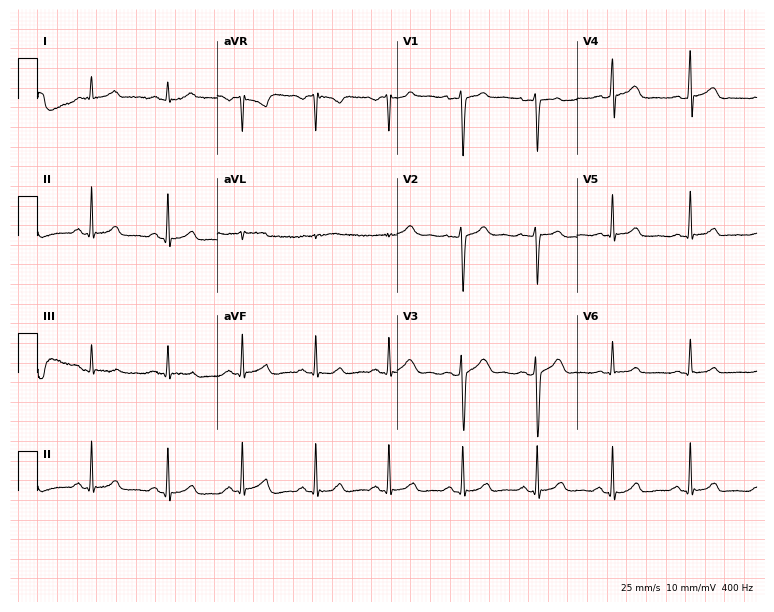
12-lead ECG from a 35-year-old man. Recorded interpretation: within normal limits.